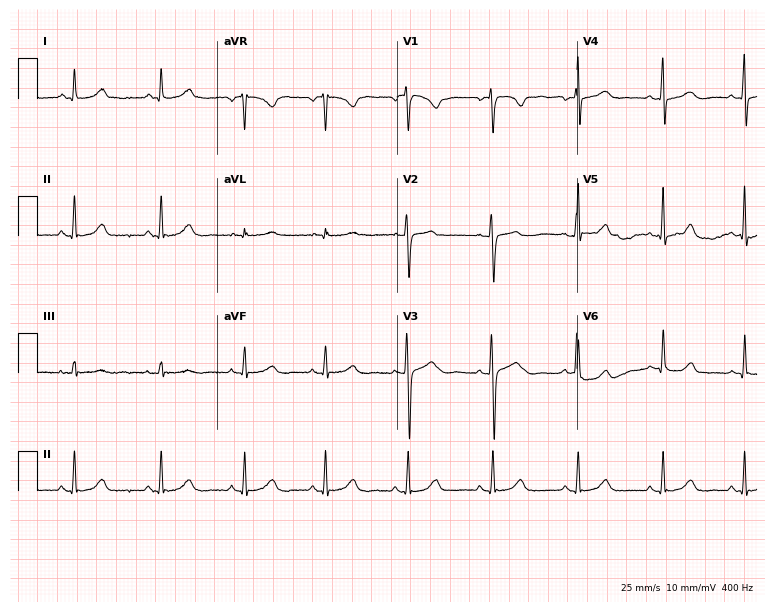
Electrocardiogram, a 34-year-old female. Of the six screened findings (first-degree AV block, right bundle branch block (RBBB), left bundle branch block (LBBB), sinus bradycardia, atrial fibrillation (AF), sinus tachycardia), none is recorded. Only these six findings were labelled.